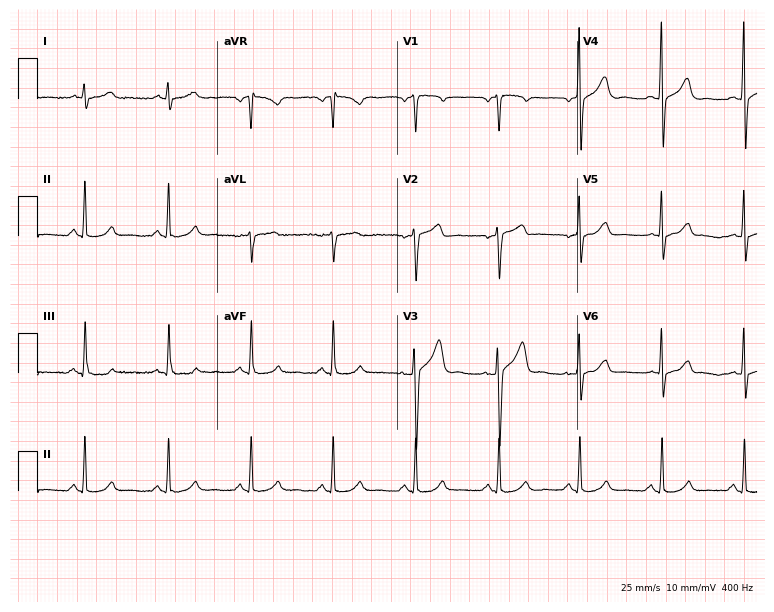
ECG (7.3-second recording at 400 Hz) — a man, 55 years old. Labelled as a normal ECG.